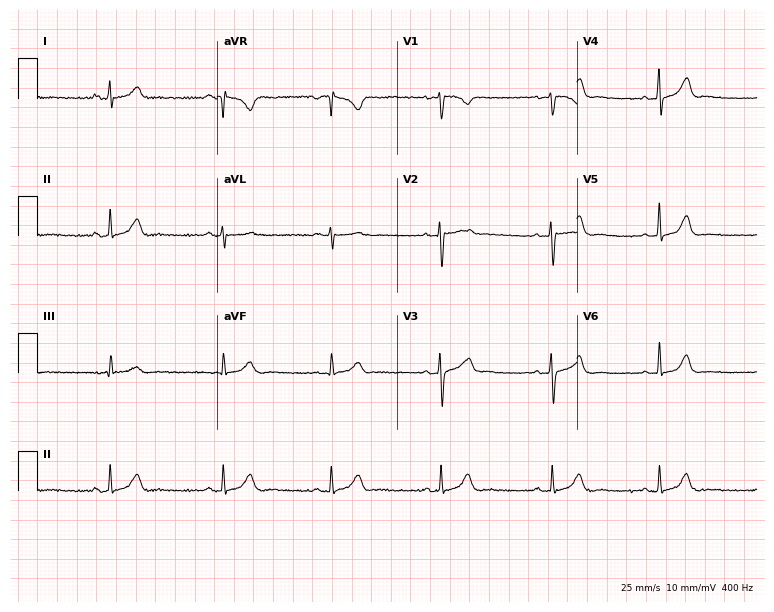
ECG — a female patient, 29 years old. Labelled as a normal ECG.